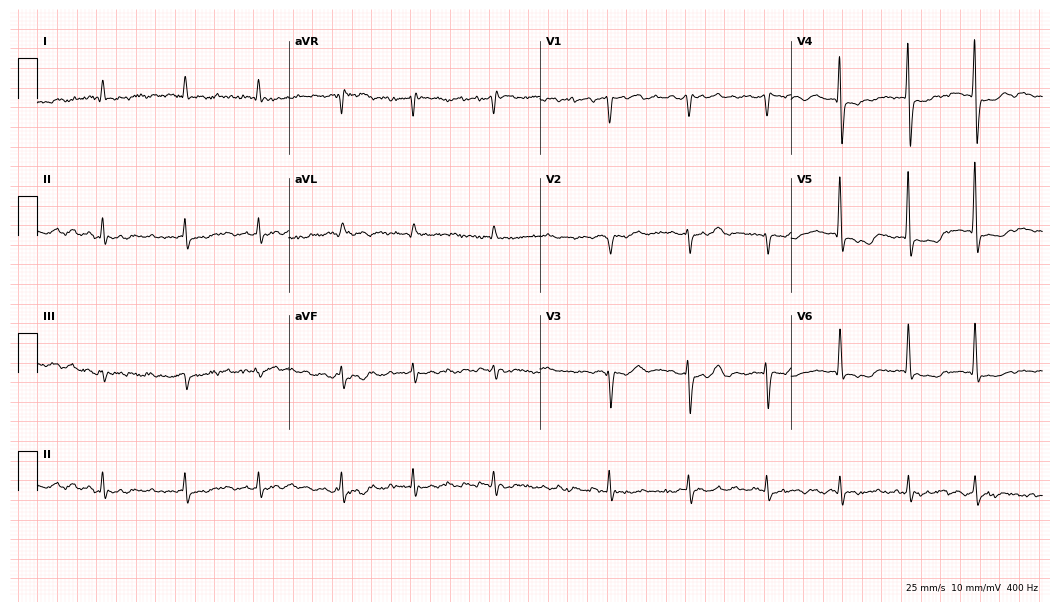
Resting 12-lead electrocardiogram (10.2-second recording at 400 Hz). Patient: an 81-year-old male. The tracing shows atrial fibrillation.